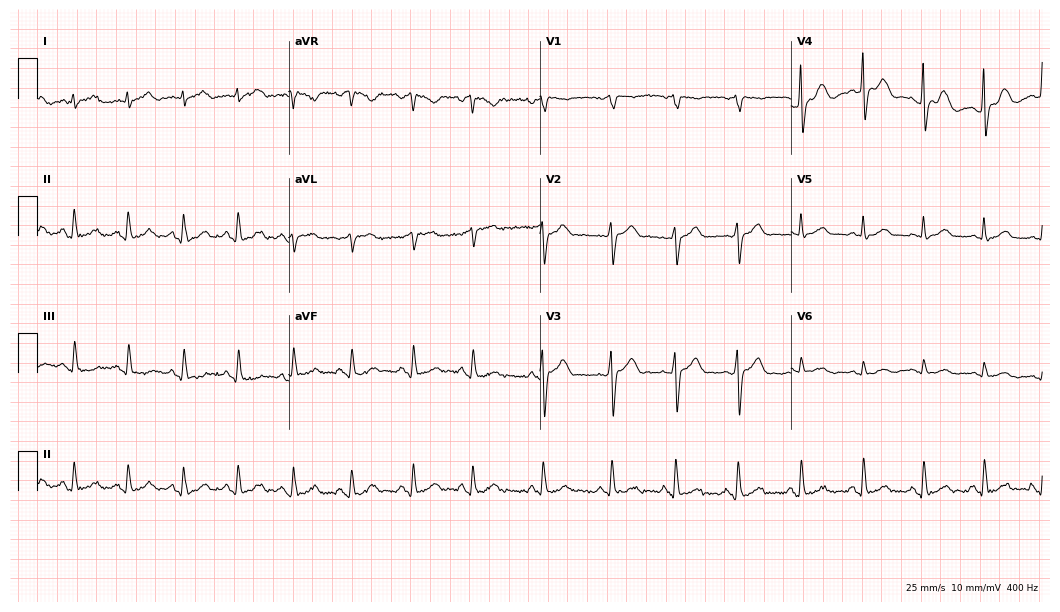
12-lead ECG from a female, 32 years old (10.2-second recording at 400 Hz). Recorded interpretation: within normal limits.